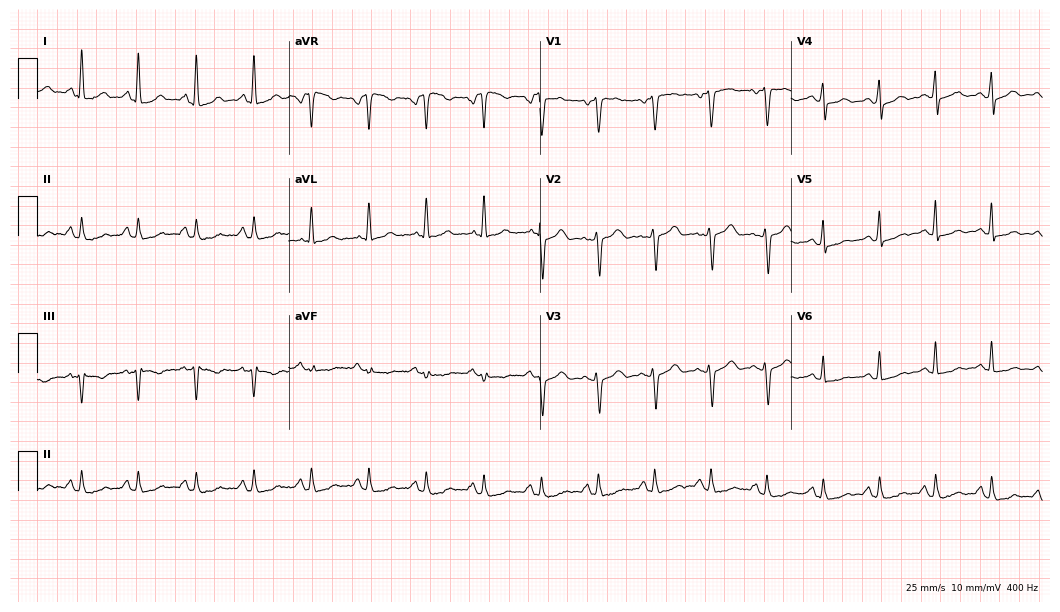
Standard 12-lead ECG recorded from a 51-year-old female (10.2-second recording at 400 Hz). None of these six findings is recorded: first-degree AV block, right bundle branch block (RBBB), left bundle branch block (LBBB), sinus bradycardia, atrial fibrillation (AF), sinus tachycardia.